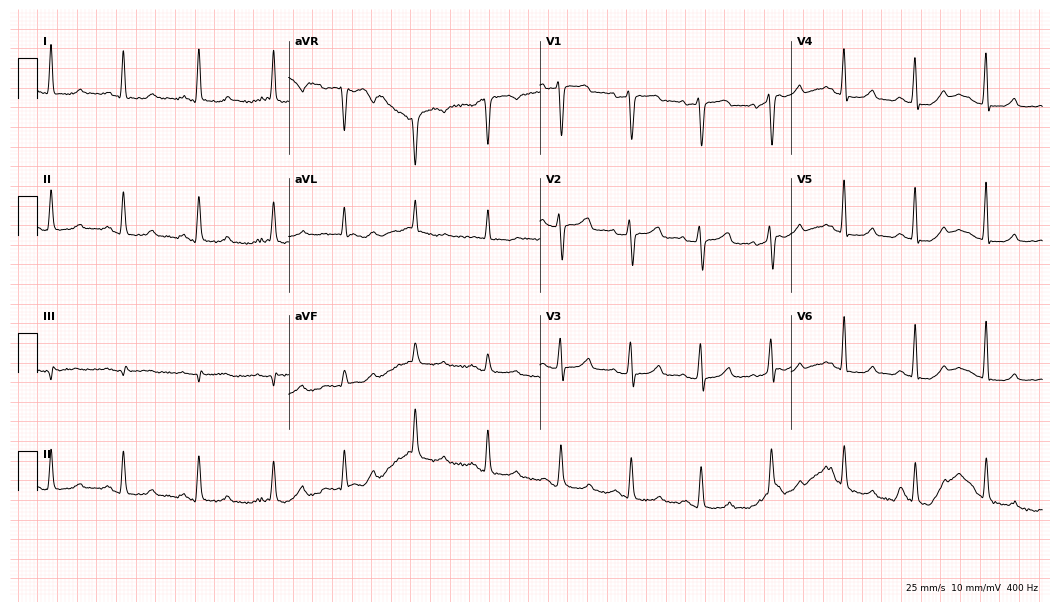
ECG (10.2-second recording at 400 Hz) — a 51-year-old woman. Labelled as a normal ECG.